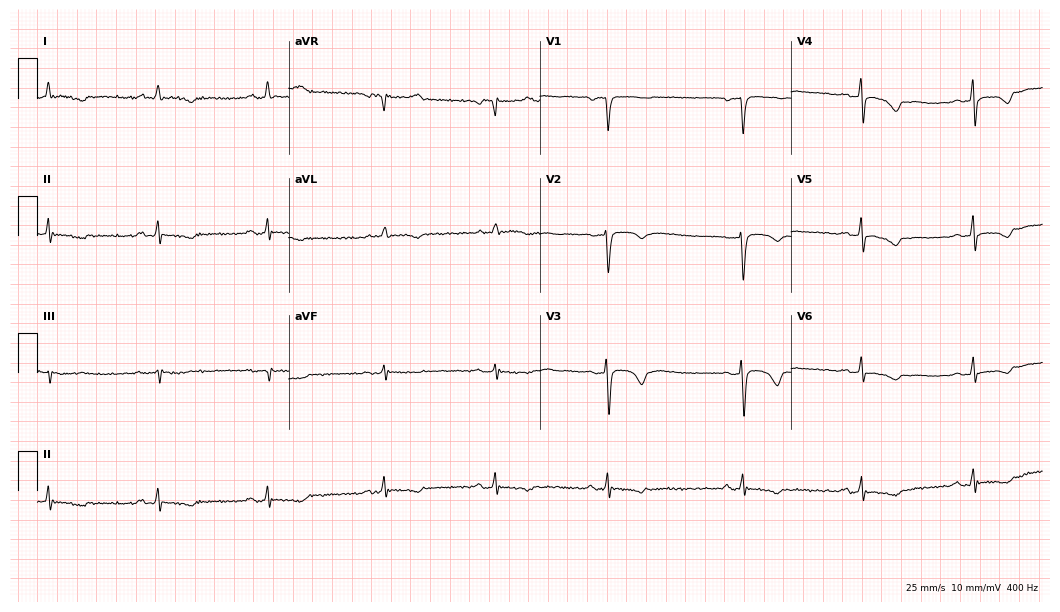
12-lead ECG from a woman, 67 years old. No first-degree AV block, right bundle branch block, left bundle branch block, sinus bradycardia, atrial fibrillation or sinus tachycardia recorded for this tracing.